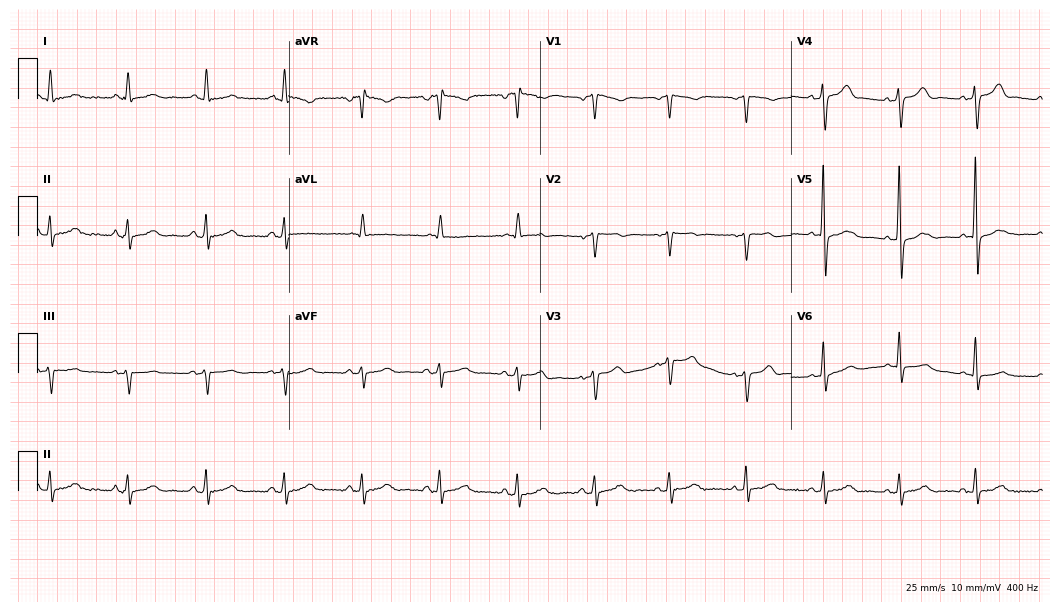
ECG — a 61-year-old female. Screened for six findings — first-degree AV block, right bundle branch block (RBBB), left bundle branch block (LBBB), sinus bradycardia, atrial fibrillation (AF), sinus tachycardia — none is recorded.